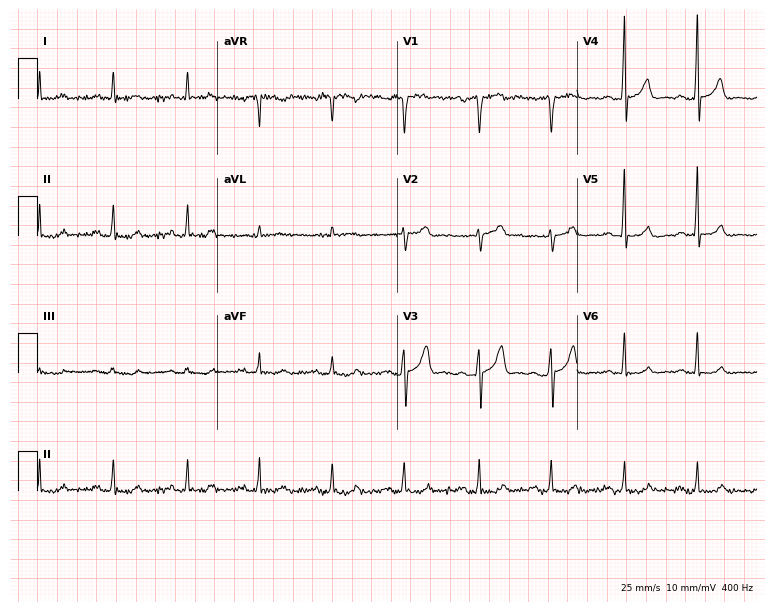
Electrocardiogram, a male patient, 50 years old. Overall reading on record: normal ECG.